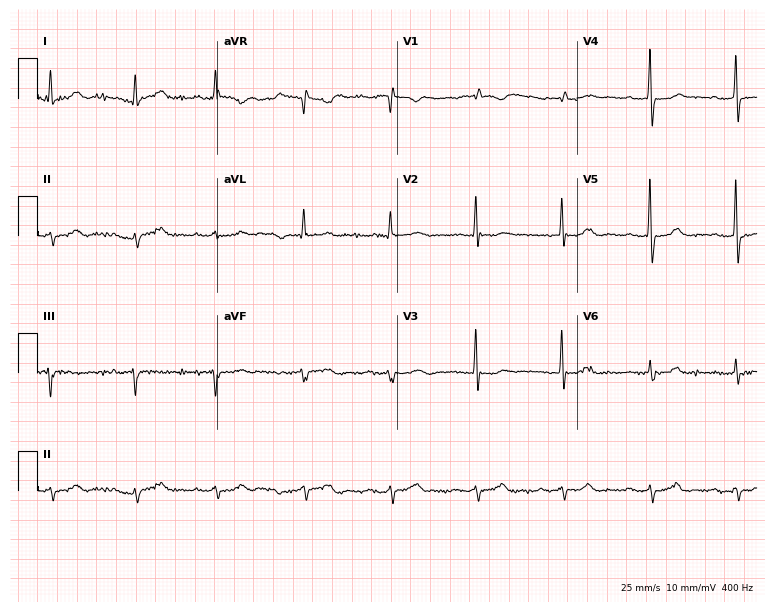
Resting 12-lead electrocardiogram. Patient: a 76-year-old female. None of these six findings is recorded: first-degree AV block, right bundle branch block, left bundle branch block, sinus bradycardia, atrial fibrillation, sinus tachycardia.